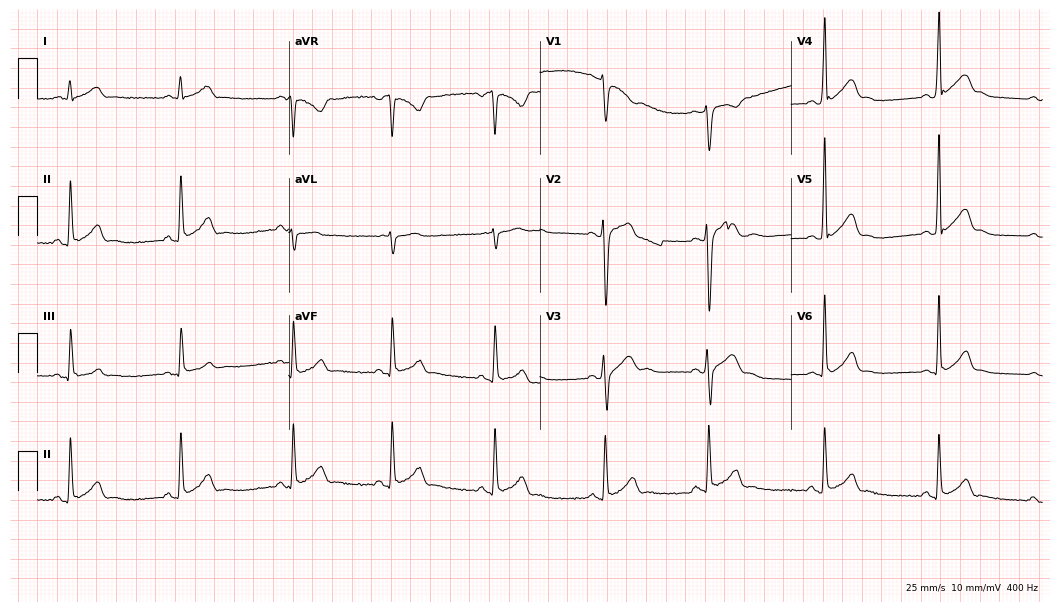
12-lead ECG from a male, 24 years old. Recorded interpretation: within normal limits.